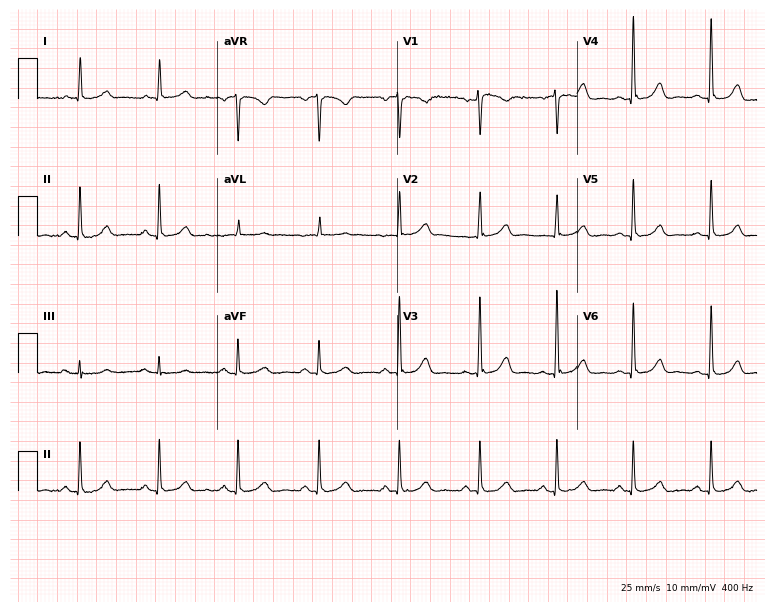
Resting 12-lead electrocardiogram. Patient: a 54-year-old female. None of these six findings is recorded: first-degree AV block, right bundle branch block, left bundle branch block, sinus bradycardia, atrial fibrillation, sinus tachycardia. Other findings, if any, are not listed.